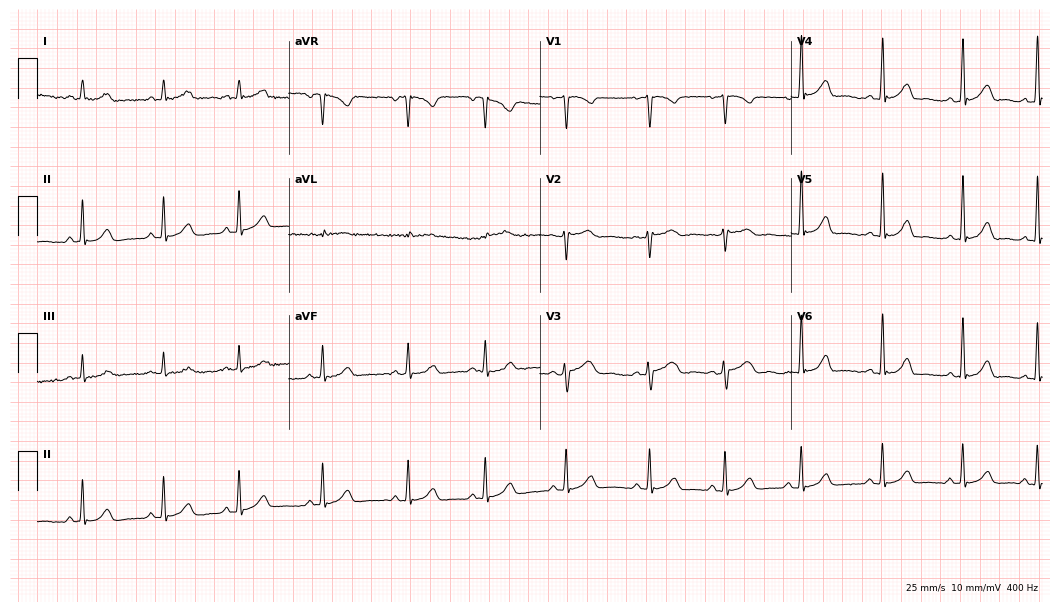
Resting 12-lead electrocardiogram (10.2-second recording at 400 Hz). Patient: a 21-year-old female. Read as a normal ECG.